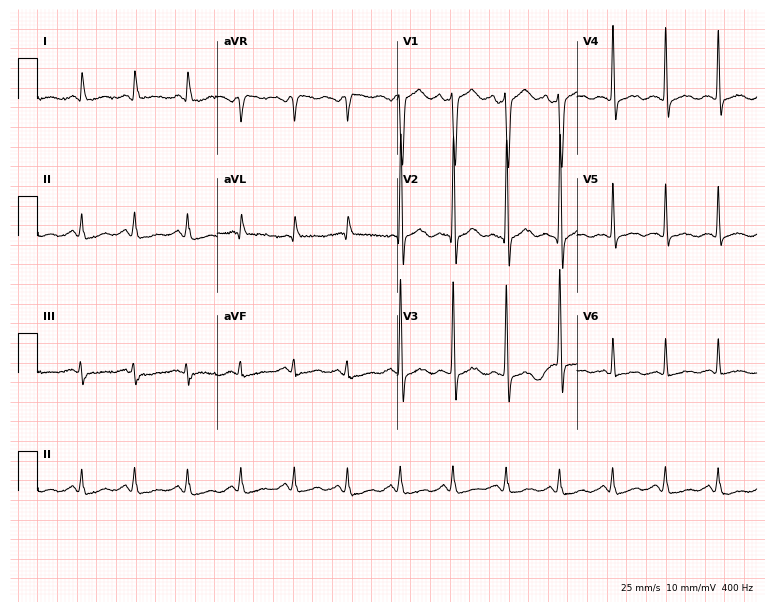
Resting 12-lead electrocardiogram. Patient: a 60-year-old man. None of these six findings is recorded: first-degree AV block, right bundle branch block, left bundle branch block, sinus bradycardia, atrial fibrillation, sinus tachycardia. Only these six findings were labelled.